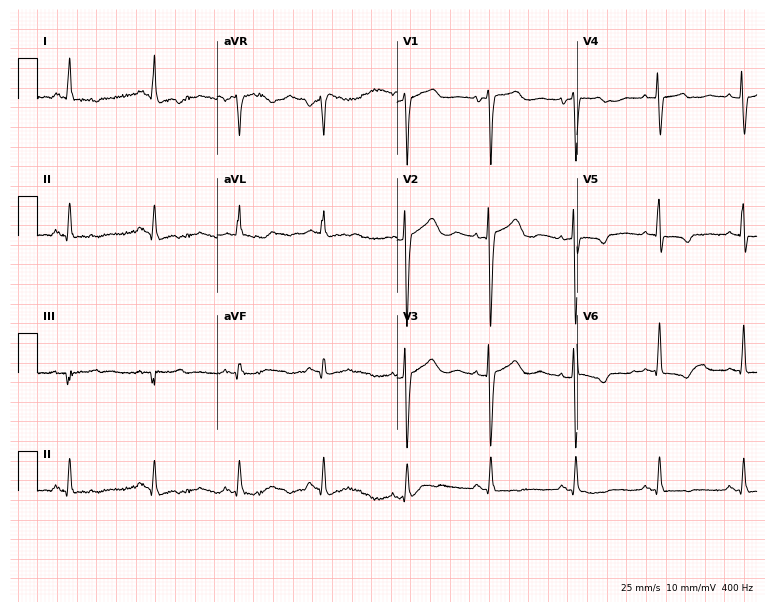
12-lead ECG from a 65-year-old female. Findings include sinus tachycardia (a sinus rate of 100 beats per minute or more).